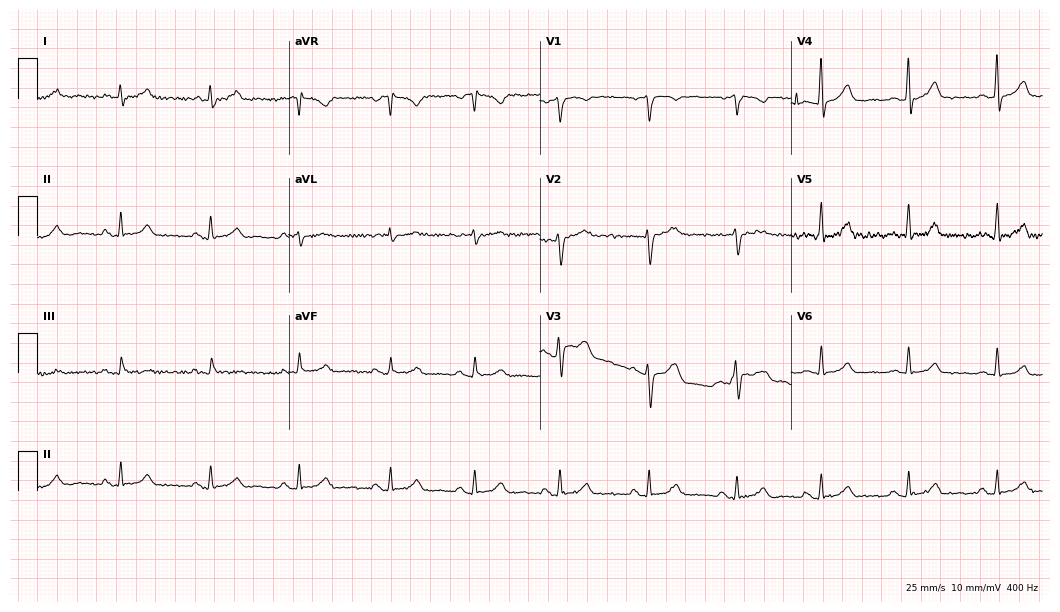
ECG (10.2-second recording at 400 Hz) — a 42-year-old female patient. Labelled as a normal ECG.